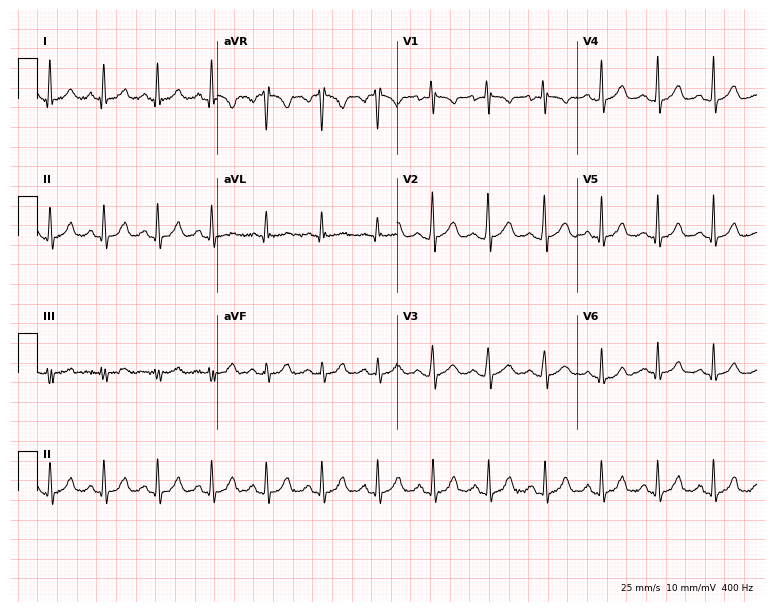
ECG — a 26-year-old female. Findings include sinus tachycardia (a sinus rate of 100 beats per minute or more).